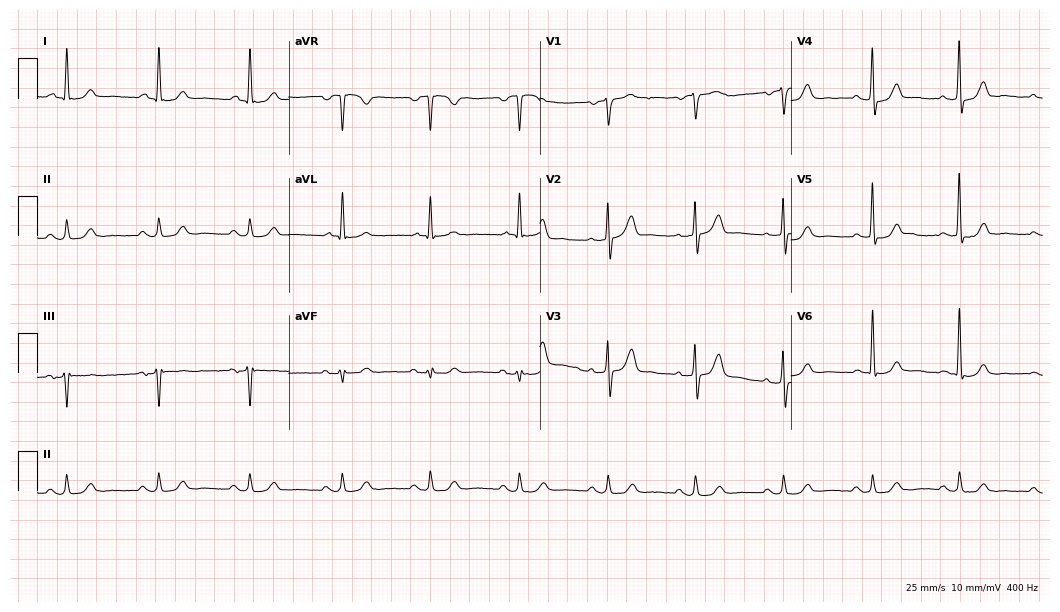
12-lead ECG from a 67-year-old male patient. Labelled as a normal ECG.